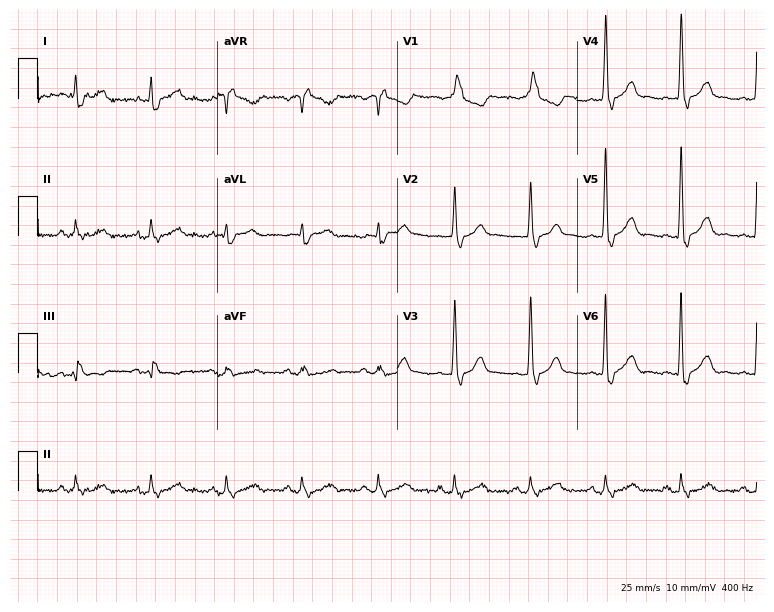
Standard 12-lead ECG recorded from a female patient, 78 years old. The tracing shows right bundle branch block.